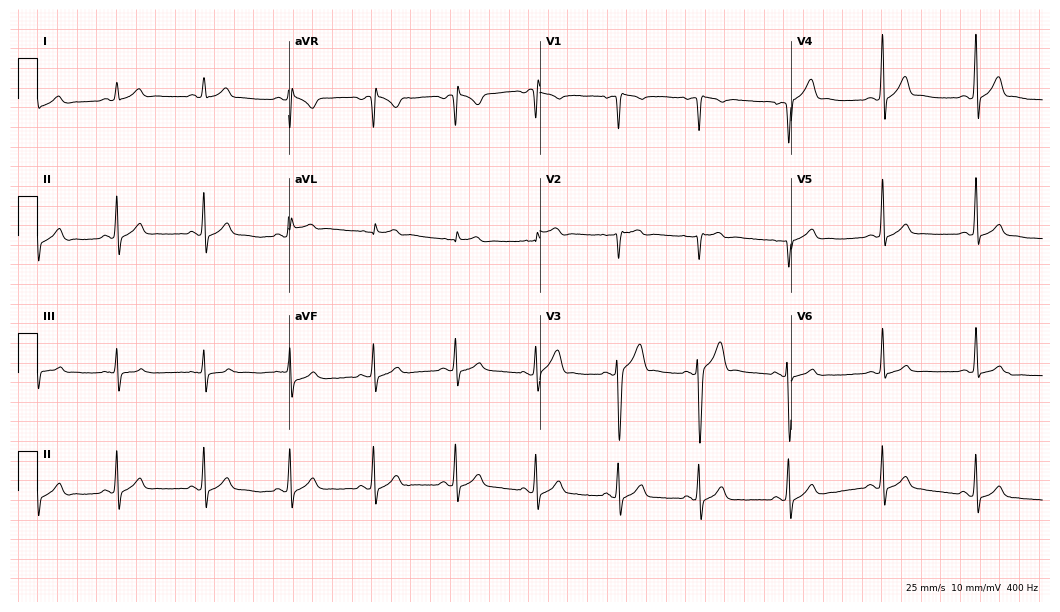
ECG — a male patient, 23 years old. Labelled as a normal ECG.